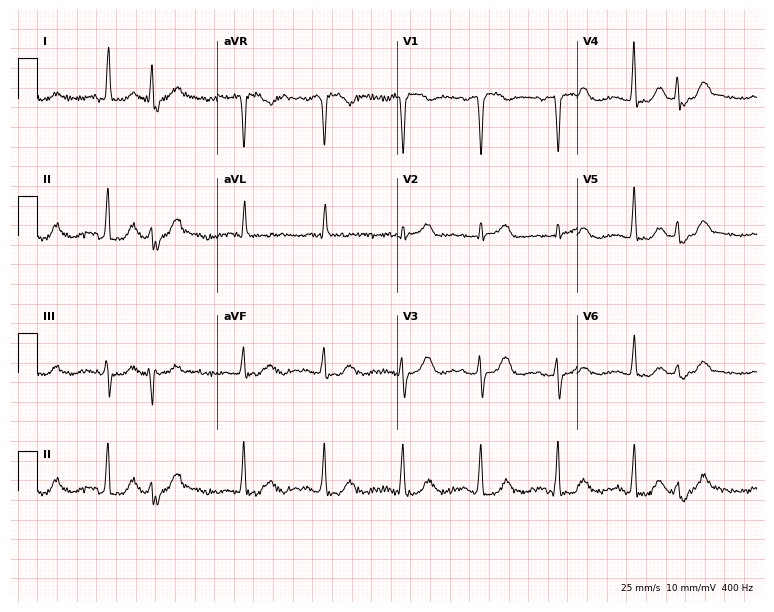
Electrocardiogram (7.3-second recording at 400 Hz), a female, 76 years old. Overall reading on record: normal ECG.